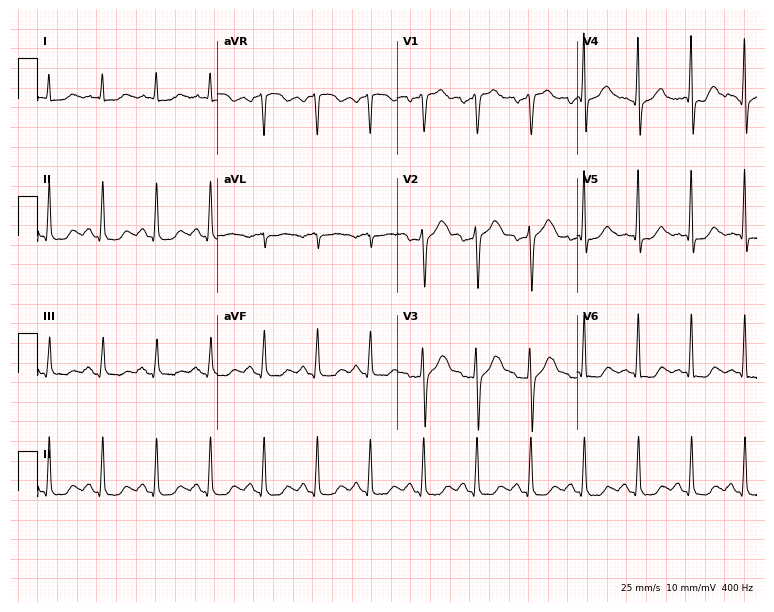
12-lead ECG from a 60-year-old man. No first-degree AV block, right bundle branch block, left bundle branch block, sinus bradycardia, atrial fibrillation or sinus tachycardia recorded for this tracing.